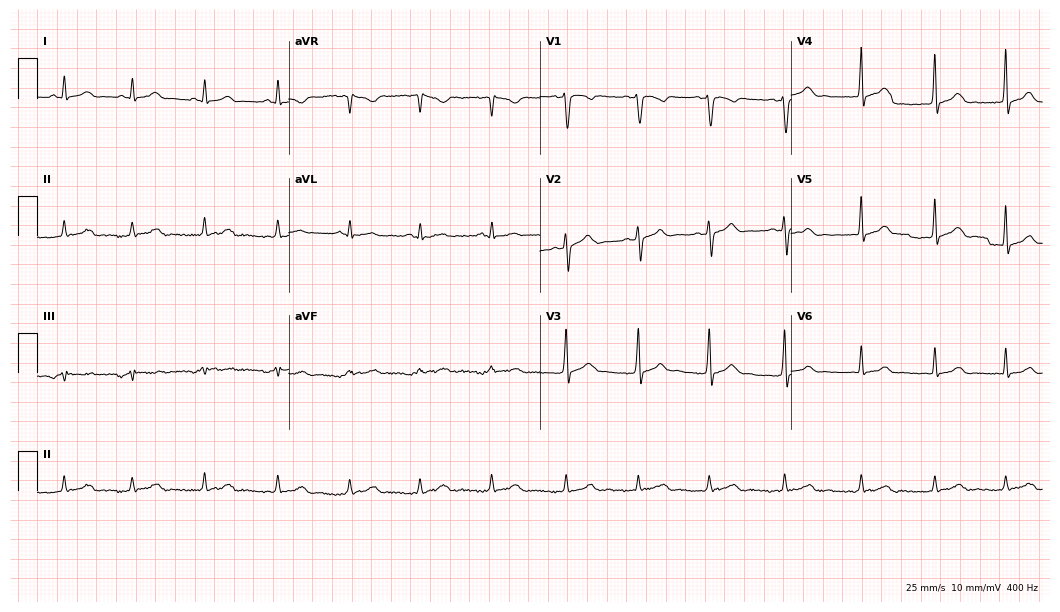
Standard 12-lead ECG recorded from a female, 30 years old. Read as a normal ECG.